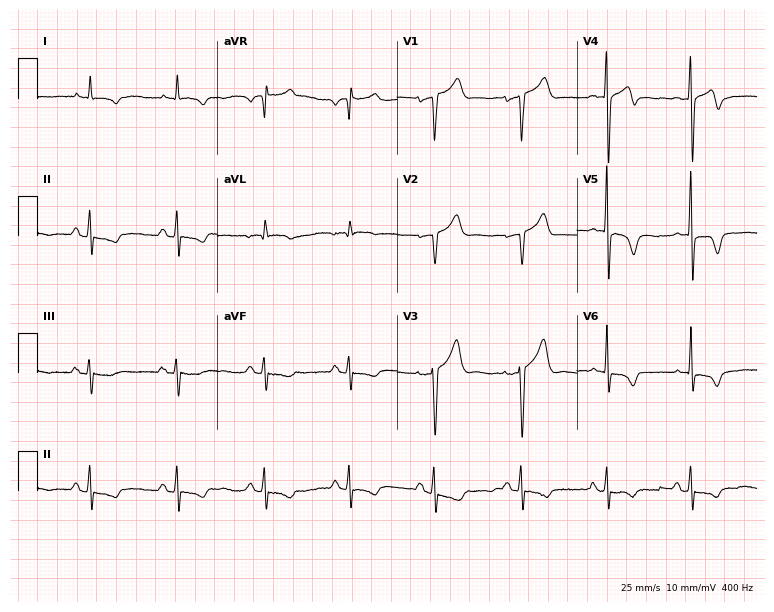
Resting 12-lead electrocardiogram. Patient: a 62-year-old male. None of these six findings is recorded: first-degree AV block, right bundle branch block, left bundle branch block, sinus bradycardia, atrial fibrillation, sinus tachycardia. Other findings, if any, are not listed.